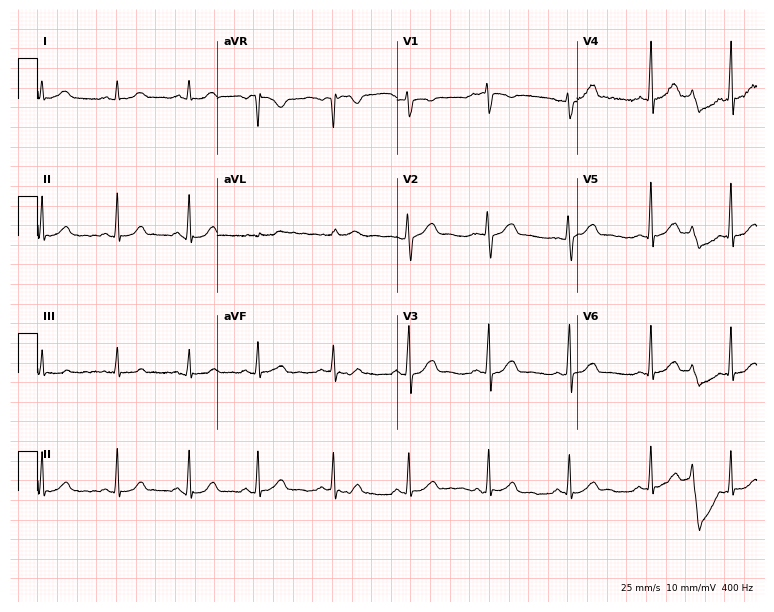
Standard 12-lead ECG recorded from a woman, 32 years old (7.3-second recording at 400 Hz). Read as a normal ECG.